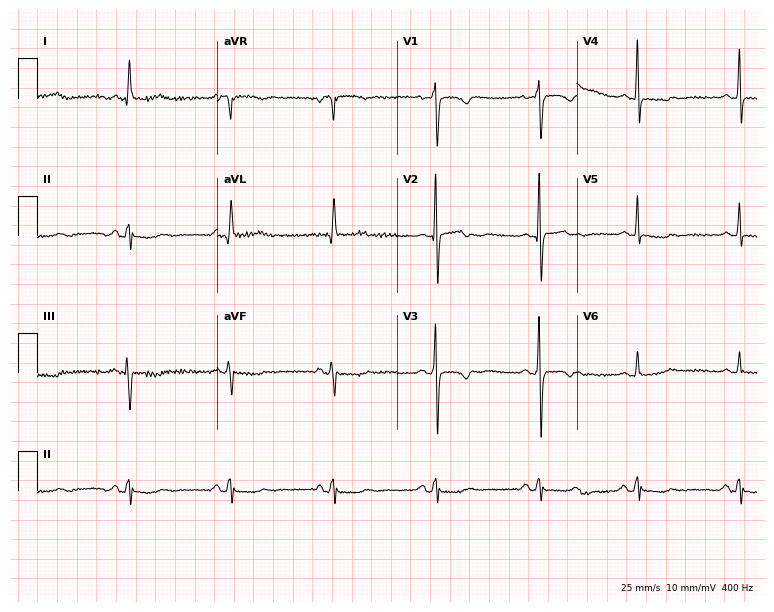
ECG — a 79-year-old woman. Labelled as a normal ECG.